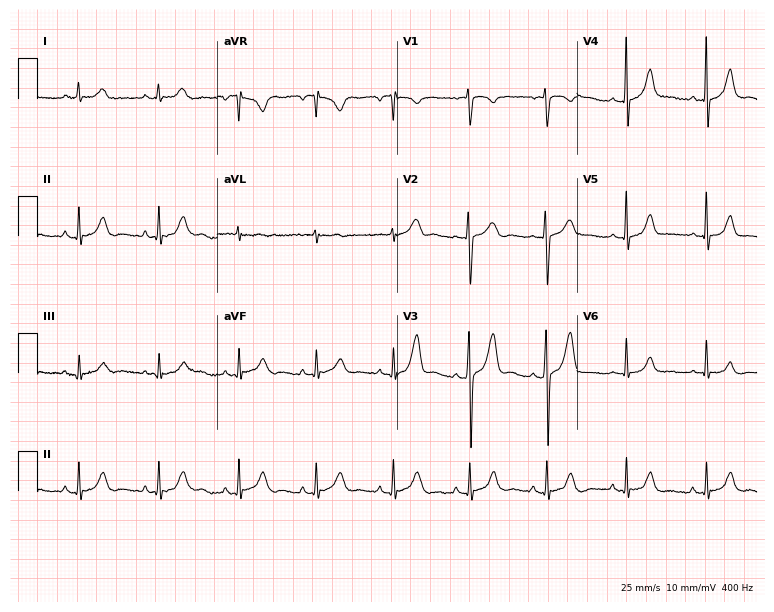
Standard 12-lead ECG recorded from a 28-year-old woman. None of these six findings is recorded: first-degree AV block, right bundle branch block (RBBB), left bundle branch block (LBBB), sinus bradycardia, atrial fibrillation (AF), sinus tachycardia. Findings outside these six are not listed.